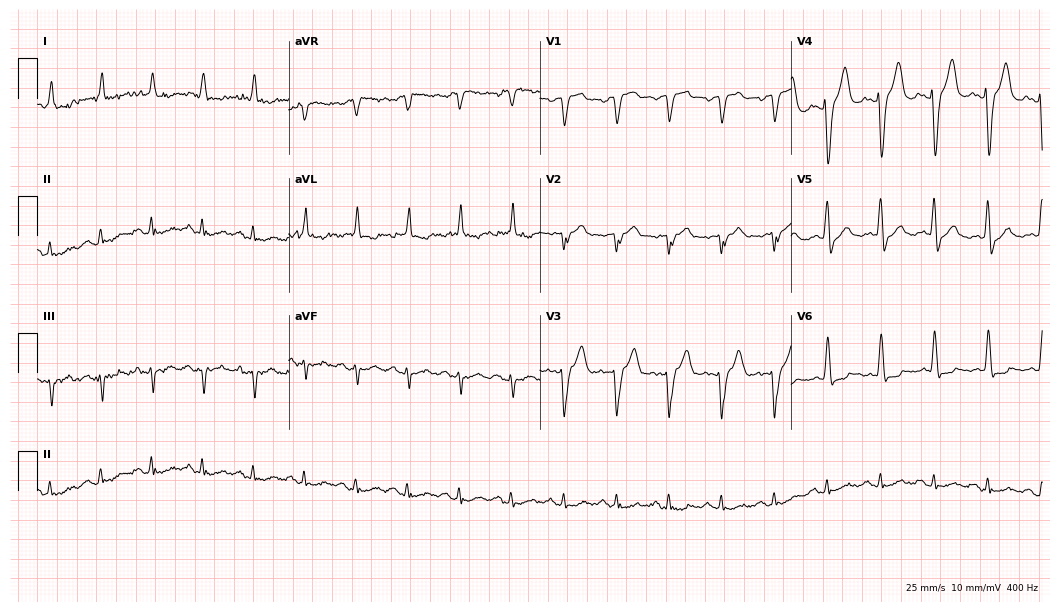
12-lead ECG from a man, 72 years old. Shows sinus tachycardia (a sinus rate of 100 beats per minute or more).